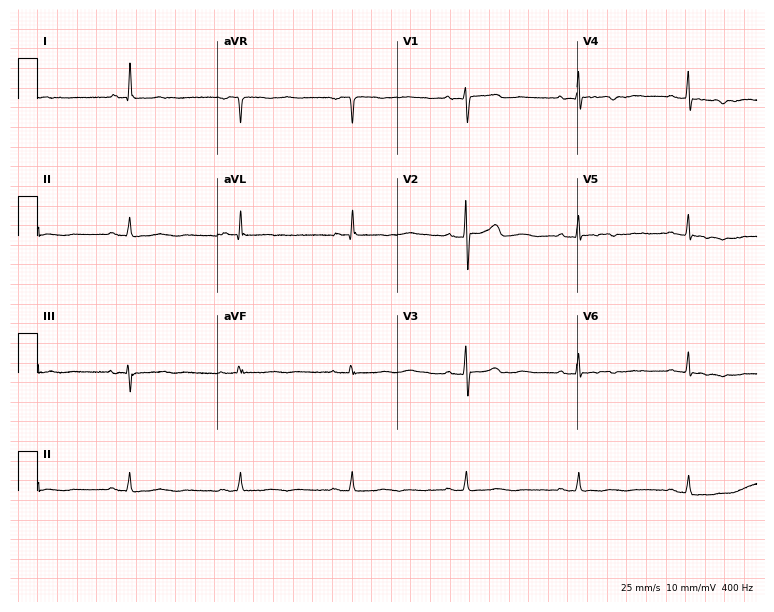
Resting 12-lead electrocardiogram (7.3-second recording at 400 Hz). Patient: a 56-year-old female. None of these six findings is recorded: first-degree AV block, right bundle branch block (RBBB), left bundle branch block (LBBB), sinus bradycardia, atrial fibrillation (AF), sinus tachycardia. Only these six findings were labelled.